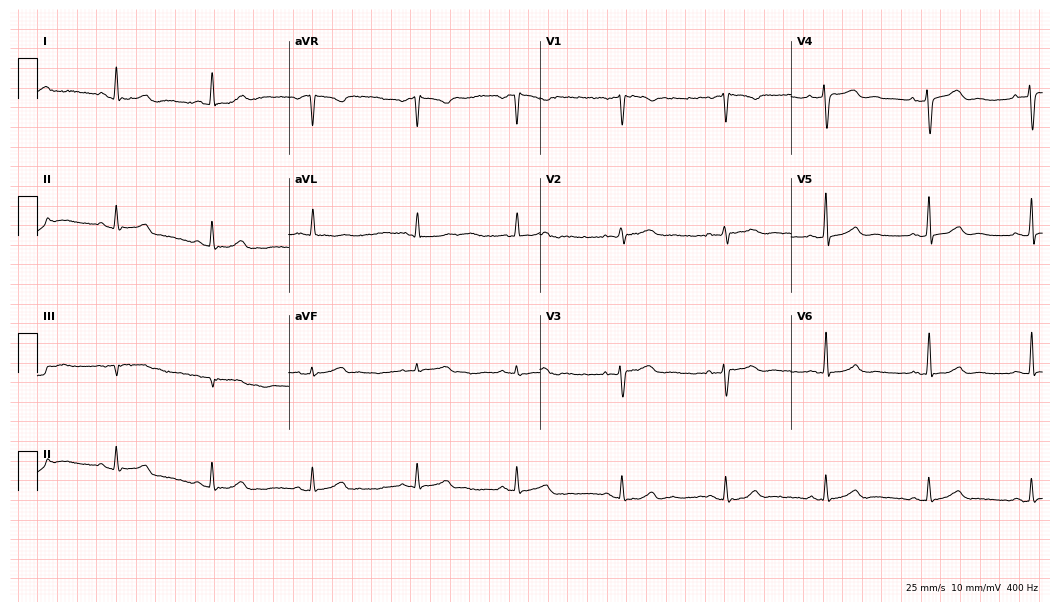
12-lead ECG from a woman, 41 years old (10.2-second recording at 400 Hz). Recorded interpretation: within normal limits.